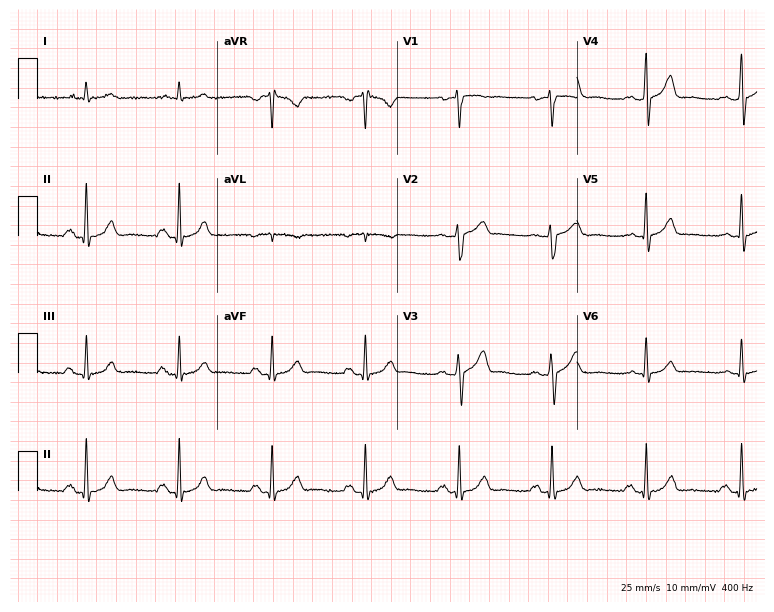
12-lead ECG from a 67-year-old male patient. Screened for six findings — first-degree AV block, right bundle branch block, left bundle branch block, sinus bradycardia, atrial fibrillation, sinus tachycardia — none is recorded.